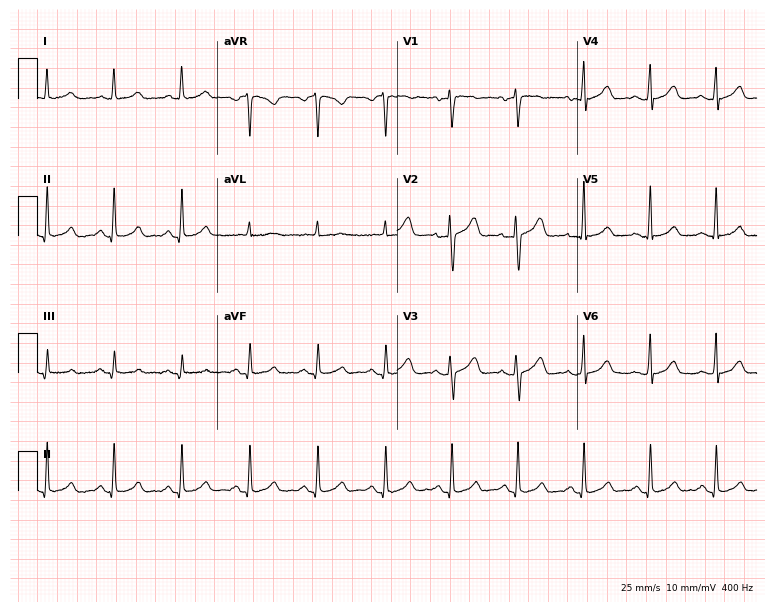
Resting 12-lead electrocardiogram (7.3-second recording at 400 Hz). Patient: a woman, 55 years old. Read as a normal ECG.